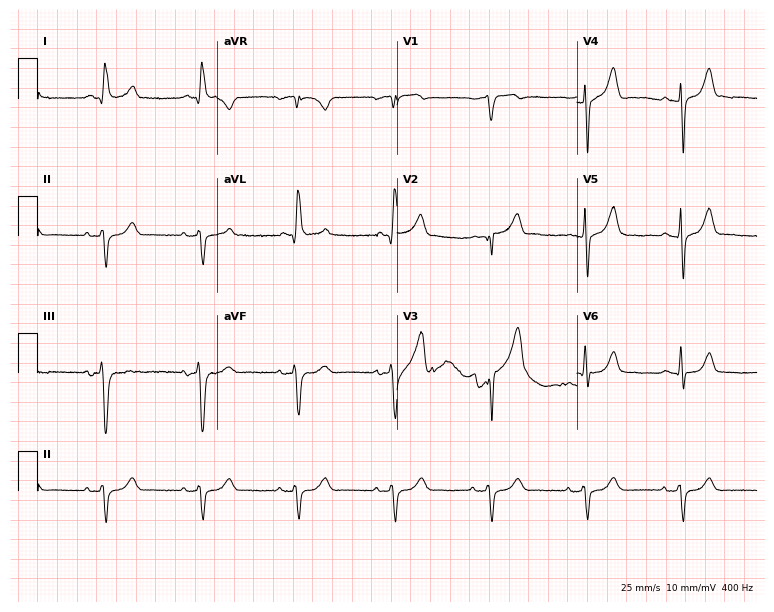
Electrocardiogram (7.3-second recording at 400 Hz), a male patient, 81 years old. Interpretation includes left bundle branch block (LBBB).